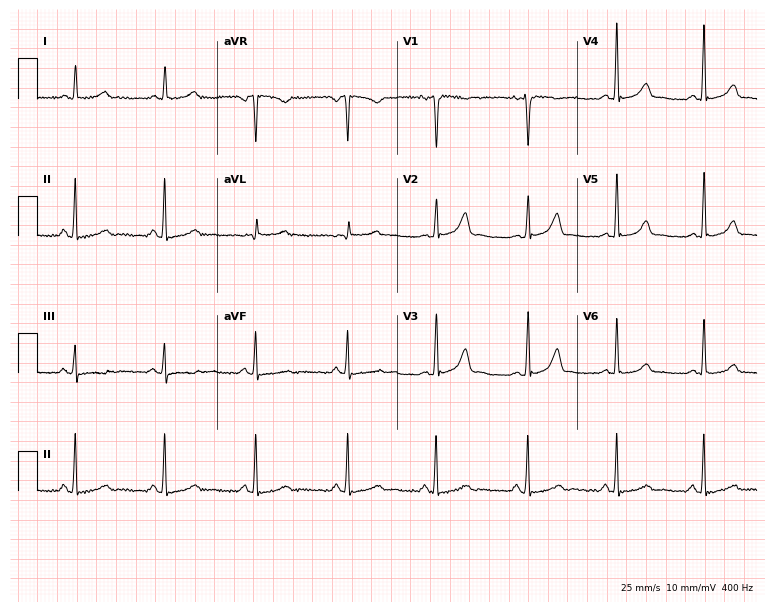
Standard 12-lead ECG recorded from a female patient, 45 years old (7.3-second recording at 400 Hz). None of these six findings is recorded: first-degree AV block, right bundle branch block, left bundle branch block, sinus bradycardia, atrial fibrillation, sinus tachycardia.